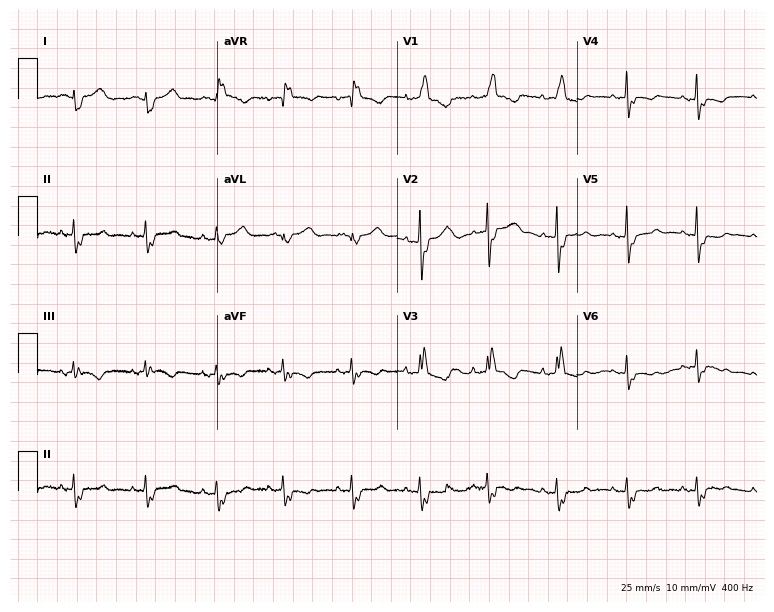
Standard 12-lead ECG recorded from a 51-year-old female patient (7.3-second recording at 400 Hz). The tracing shows right bundle branch block.